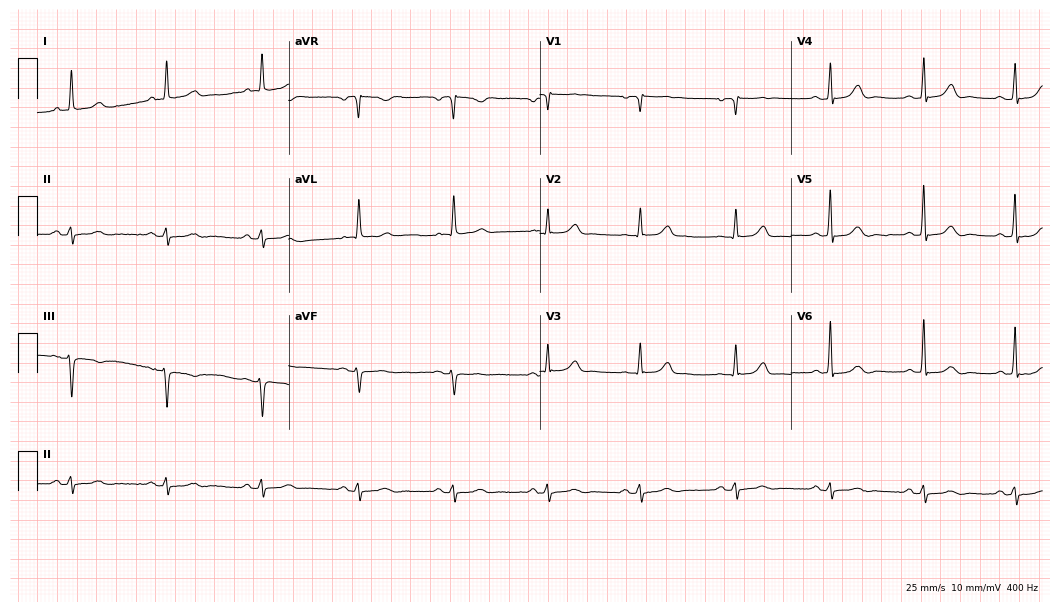
12-lead ECG (10.2-second recording at 400 Hz) from a male patient, 85 years old. Labelled as a normal ECG.